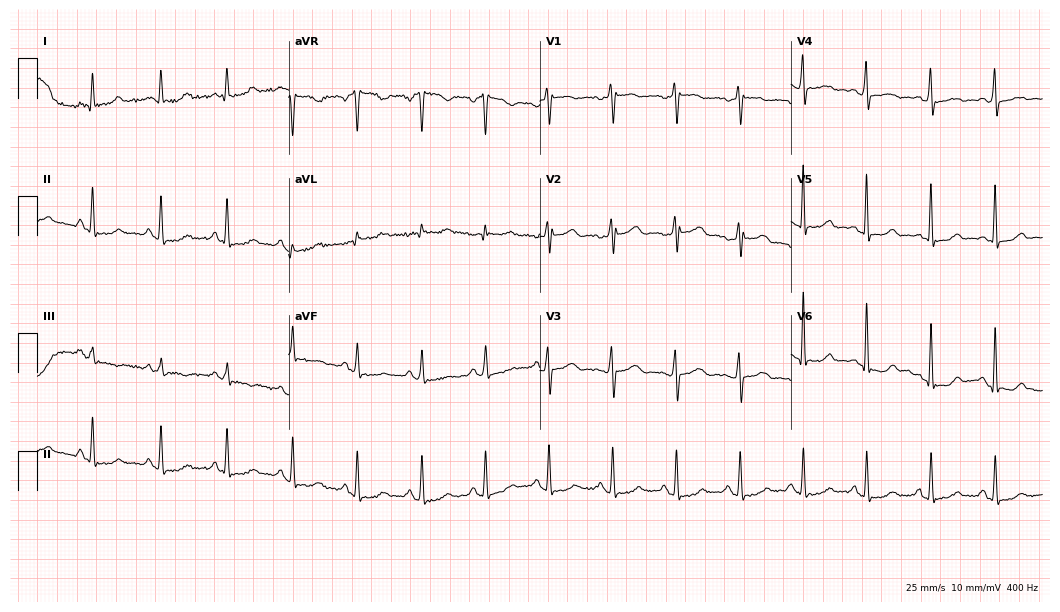
Electrocardiogram (10.2-second recording at 400 Hz), a 45-year-old female patient. Of the six screened findings (first-degree AV block, right bundle branch block (RBBB), left bundle branch block (LBBB), sinus bradycardia, atrial fibrillation (AF), sinus tachycardia), none is recorded. Findings outside these six are not listed.